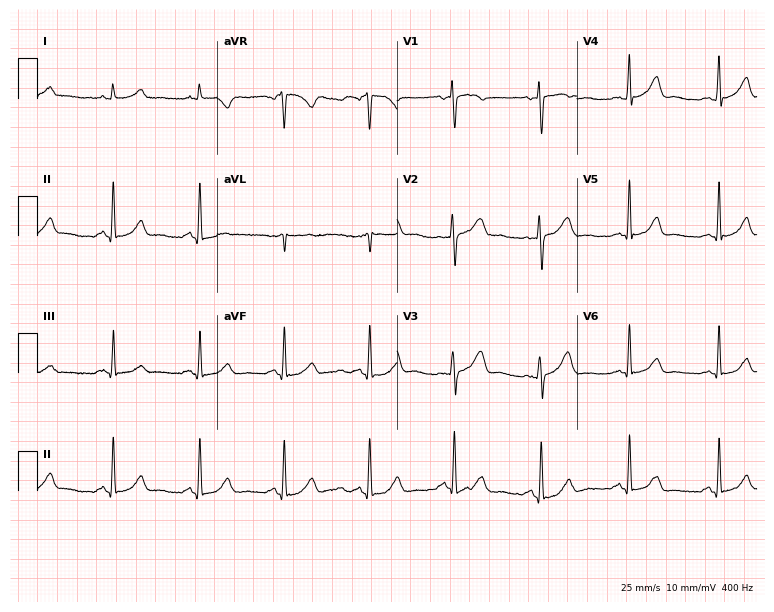
Resting 12-lead electrocardiogram. Patient: a female, 48 years old. Read as a normal ECG.